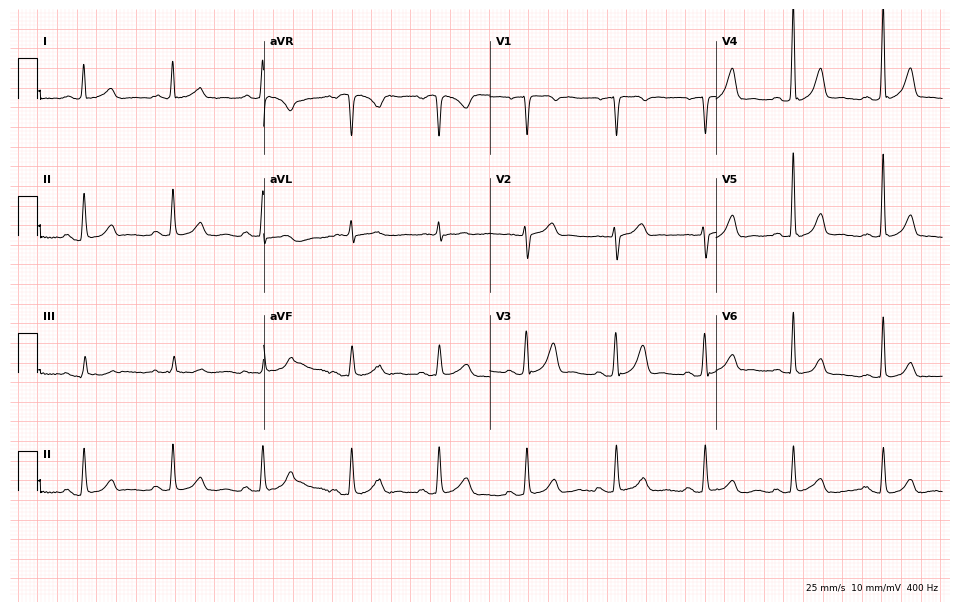
Electrocardiogram (9.2-second recording at 400 Hz), a 71-year-old male. Overall reading on record: normal ECG.